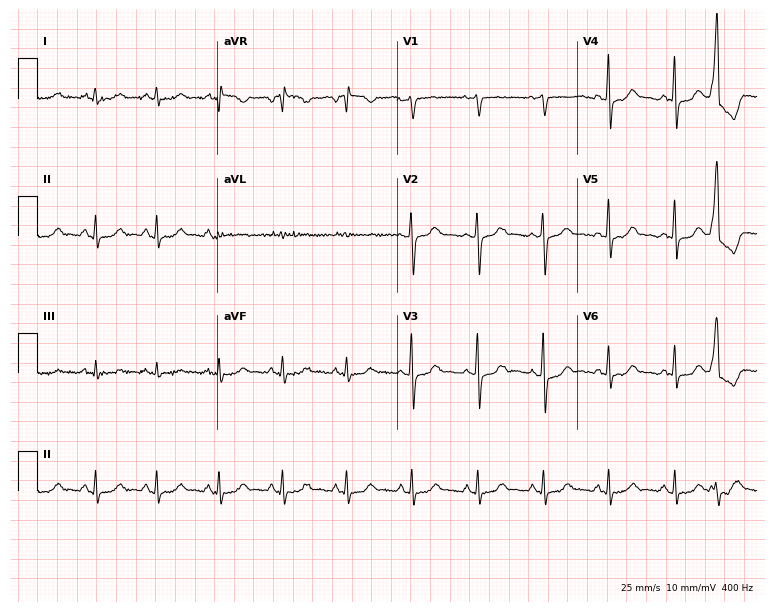
Resting 12-lead electrocardiogram. Patient: a female, 49 years old. None of these six findings is recorded: first-degree AV block, right bundle branch block (RBBB), left bundle branch block (LBBB), sinus bradycardia, atrial fibrillation (AF), sinus tachycardia. Other findings, if any, are not listed.